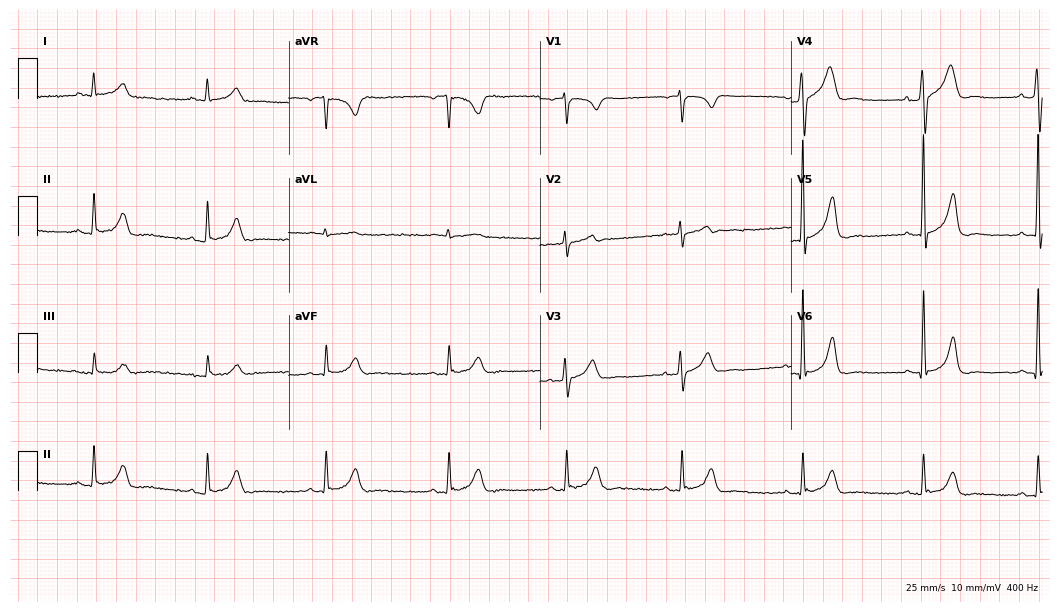
Resting 12-lead electrocardiogram (10.2-second recording at 400 Hz). Patient: a male, 52 years old. Read as a normal ECG.